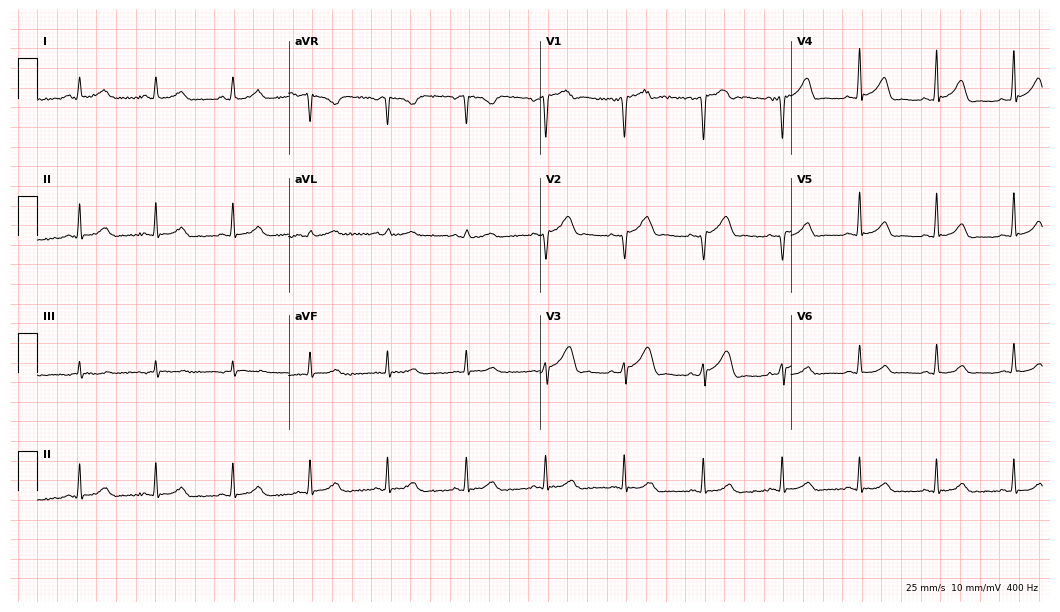
Standard 12-lead ECG recorded from a man, 59 years old. Read as a normal ECG.